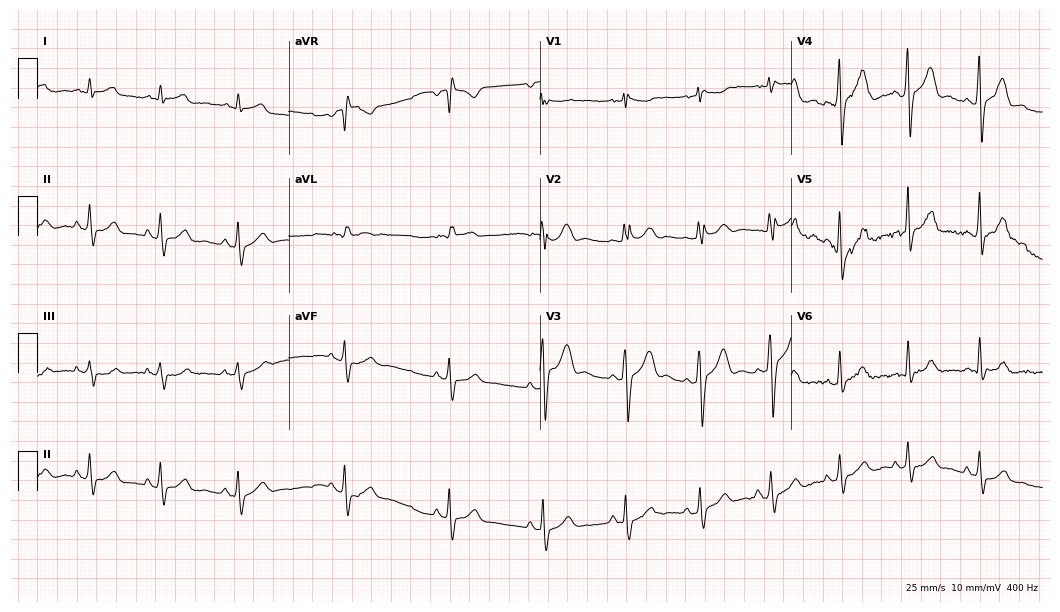
12-lead ECG from a 34-year-old man. No first-degree AV block, right bundle branch block (RBBB), left bundle branch block (LBBB), sinus bradycardia, atrial fibrillation (AF) or sinus tachycardia recorded for this tracing.